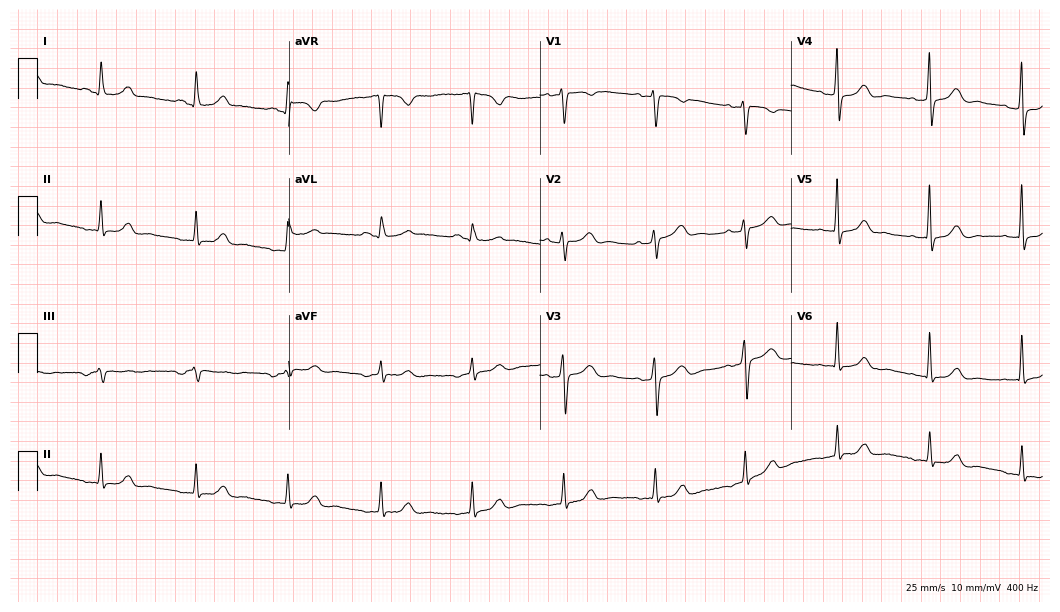
Standard 12-lead ECG recorded from a 58-year-old woman (10.2-second recording at 400 Hz). Read as a normal ECG.